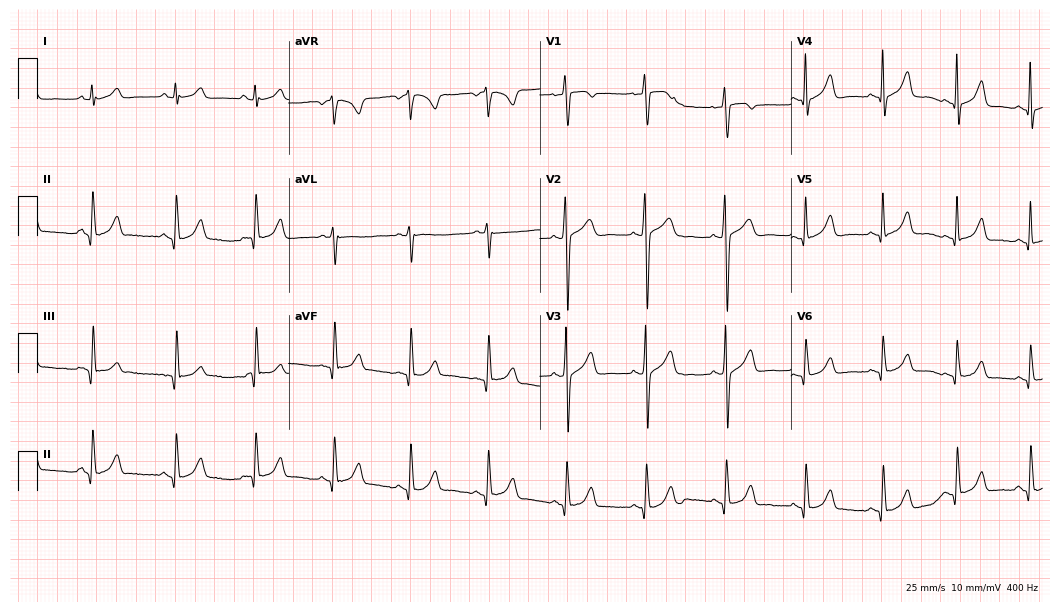
12-lead ECG from a 21-year-old female patient. Labelled as a normal ECG.